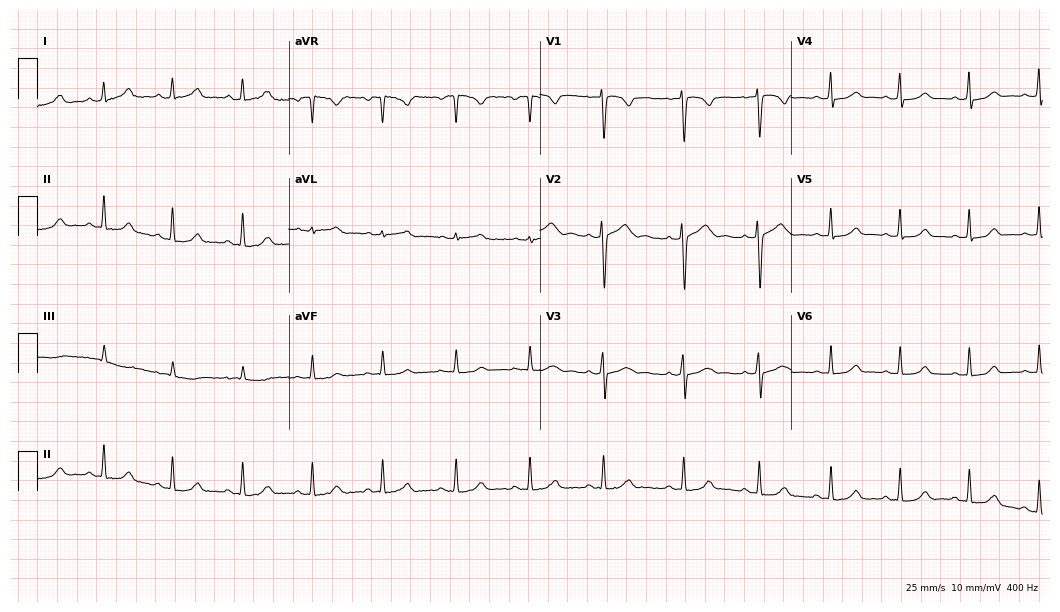
12-lead ECG from a female patient, 22 years old (10.2-second recording at 400 Hz). Recorded interpretation: within normal limits.